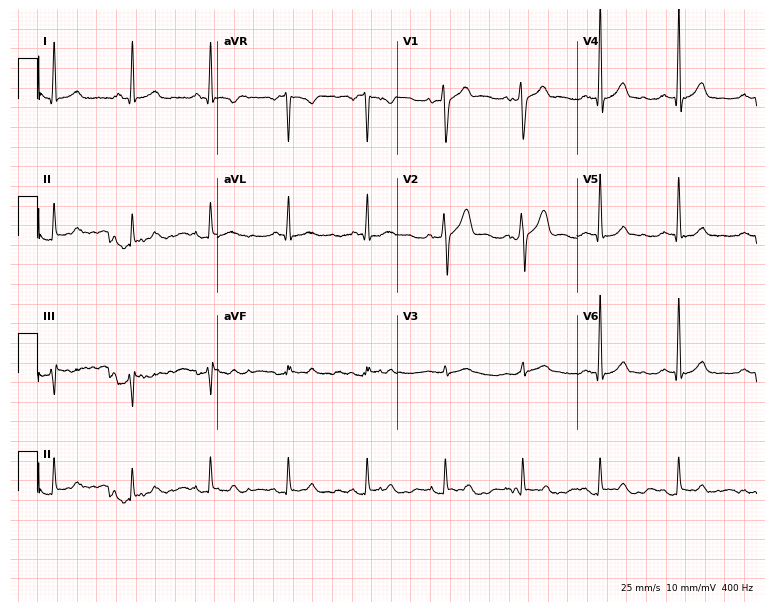
Standard 12-lead ECG recorded from a man, 52 years old. Read as a normal ECG.